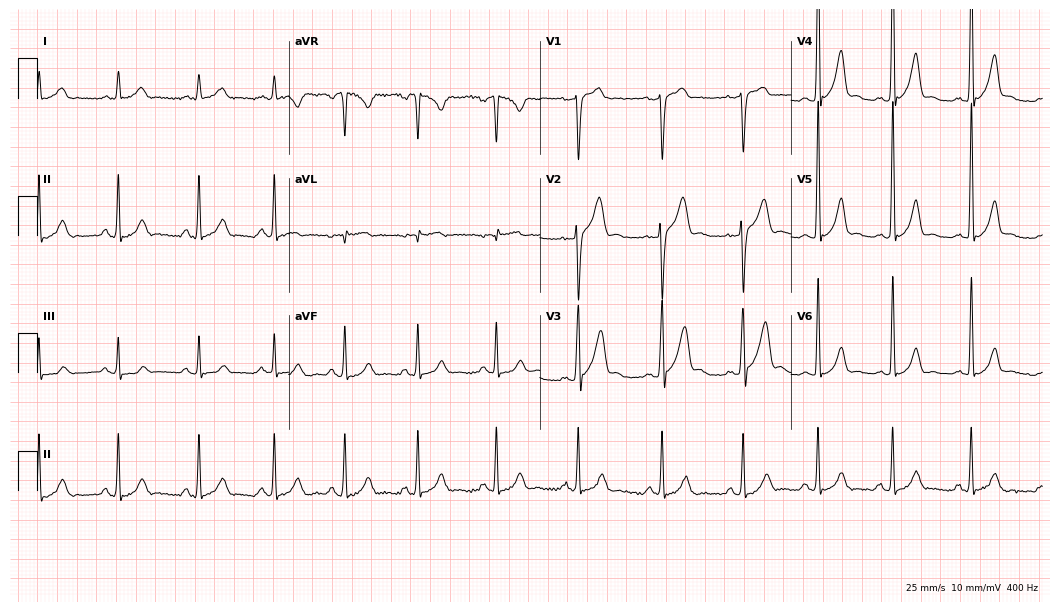
Electrocardiogram (10.2-second recording at 400 Hz), a 32-year-old man. Overall reading on record: normal ECG.